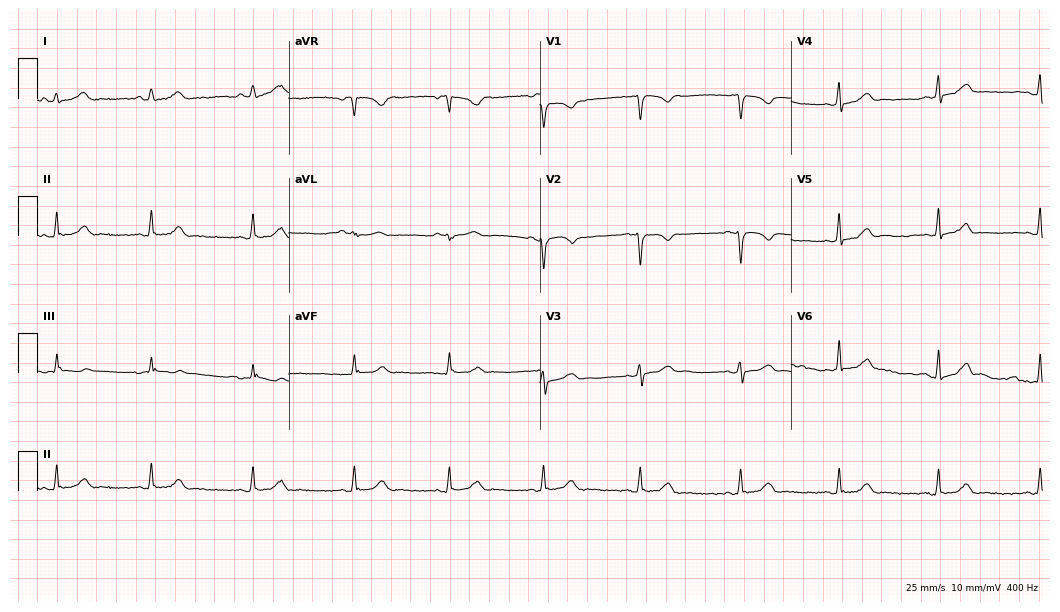
Standard 12-lead ECG recorded from a female, 28 years old. None of these six findings is recorded: first-degree AV block, right bundle branch block (RBBB), left bundle branch block (LBBB), sinus bradycardia, atrial fibrillation (AF), sinus tachycardia. Other findings, if any, are not listed.